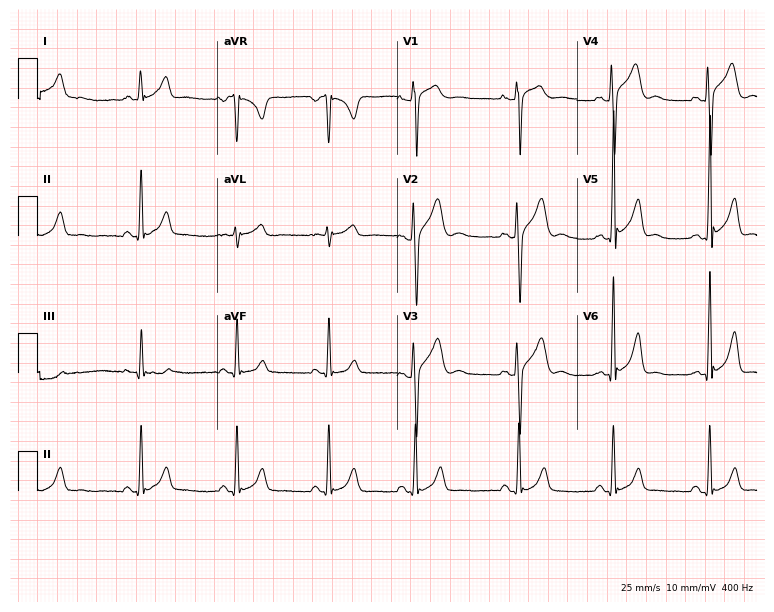
Electrocardiogram (7.3-second recording at 400 Hz), a male, 19 years old. Of the six screened findings (first-degree AV block, right bundle branch block (RBBB), left bundle branch block (LBBB), sinus bradycardia, atrial fibrillation (AF), sinus tachycardia), none is recorded. Only these six findings were labelled.